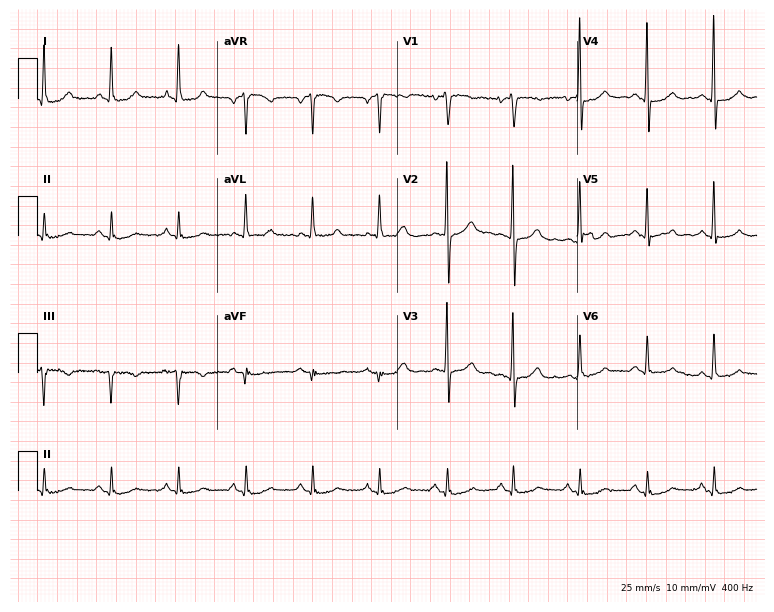
12-lead ECG from a female patient, 72 years old. No first-degree AV block, right bundle branch block, left bundle branch block, sinus bradycardia, atrial fibrillation or sinus tachycardia recorded for this tracing. Findings outside these six are not listed.